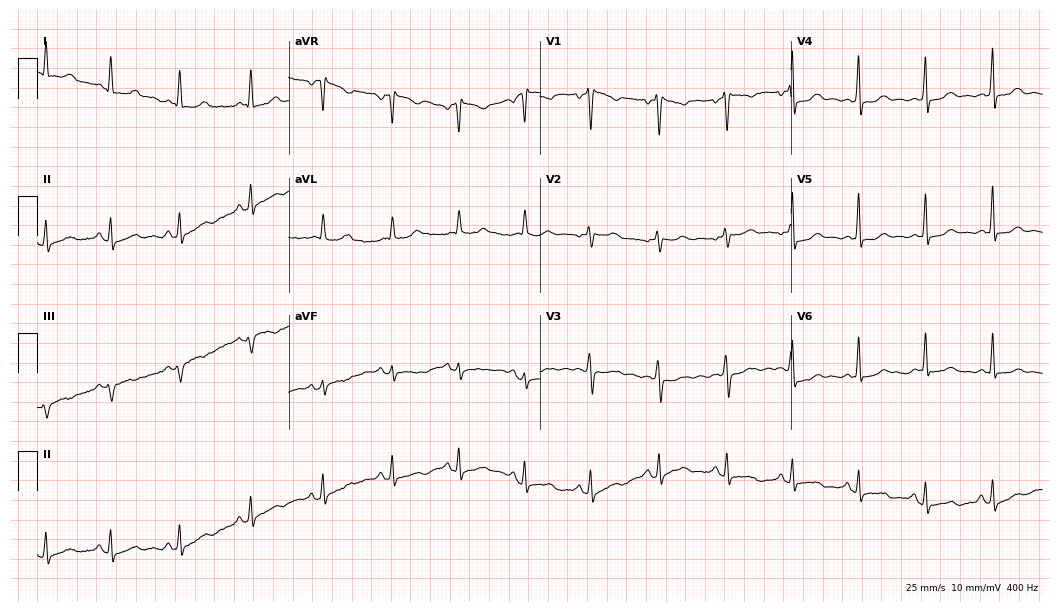
12-lead ECG from a woman, 45 years old. Screened for six findings — first-degree AV block, right bundle branch block (RBBB), left bundle branch block (LBBB), sinus bradycardia, atrial fibrillation (AF), sinus tachycardia — none is recorded.